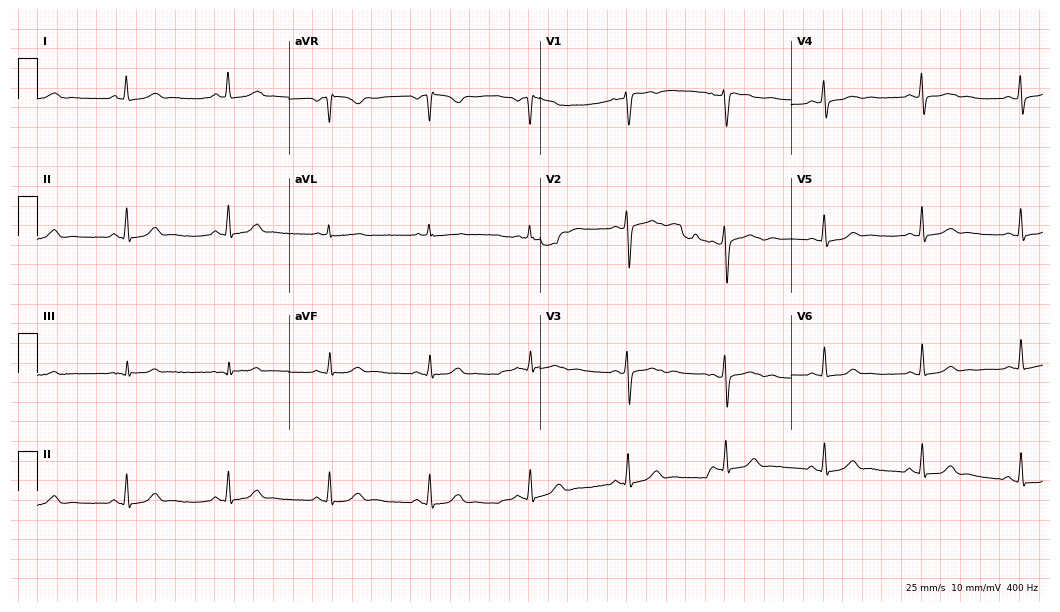
Standard 12-lead ECG recorded from a female, 44 years old (10.2-second recording at 400 Hz). Read as a normal ECG.